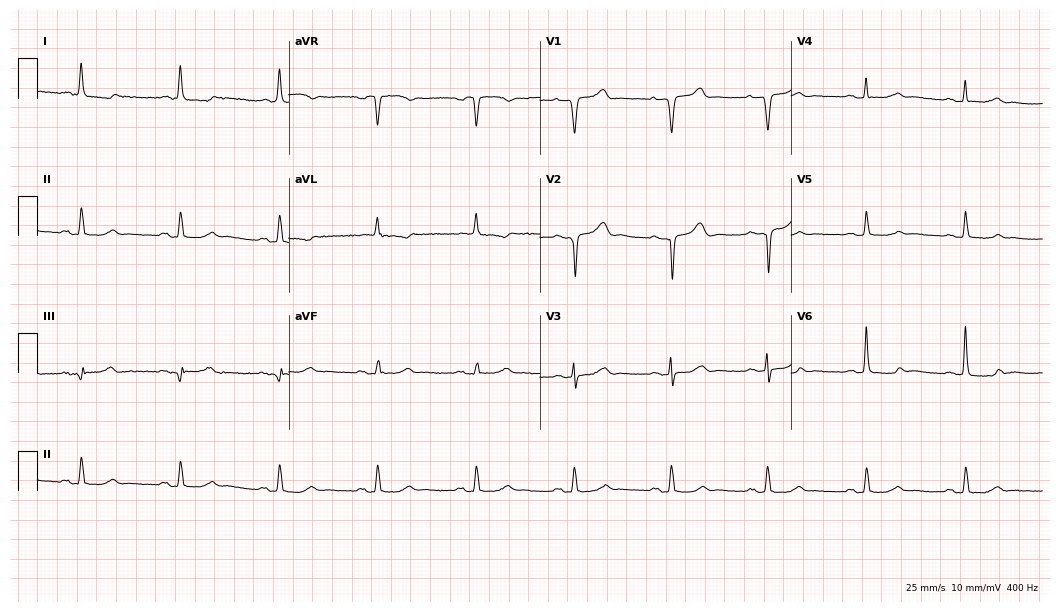
Electrocardiogram, a 79-year-old male. Of the six screened findings (first-degree AV block, right bundle branch block, left bundle branch block, sinus bradycardia, atrial fibrillation, sinus tachycardia), none is recorded. Other findings, if any, are not listed.